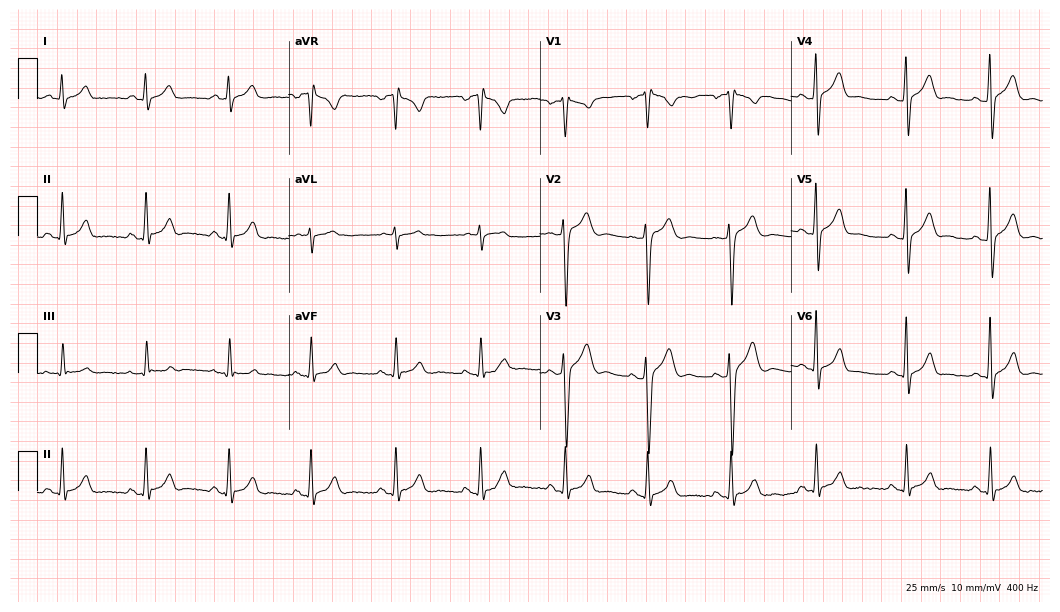
12-lead ECG from a 30-year-old male (10.2-second recording at 400 Hz). Recorded interpretation: within normal limits.